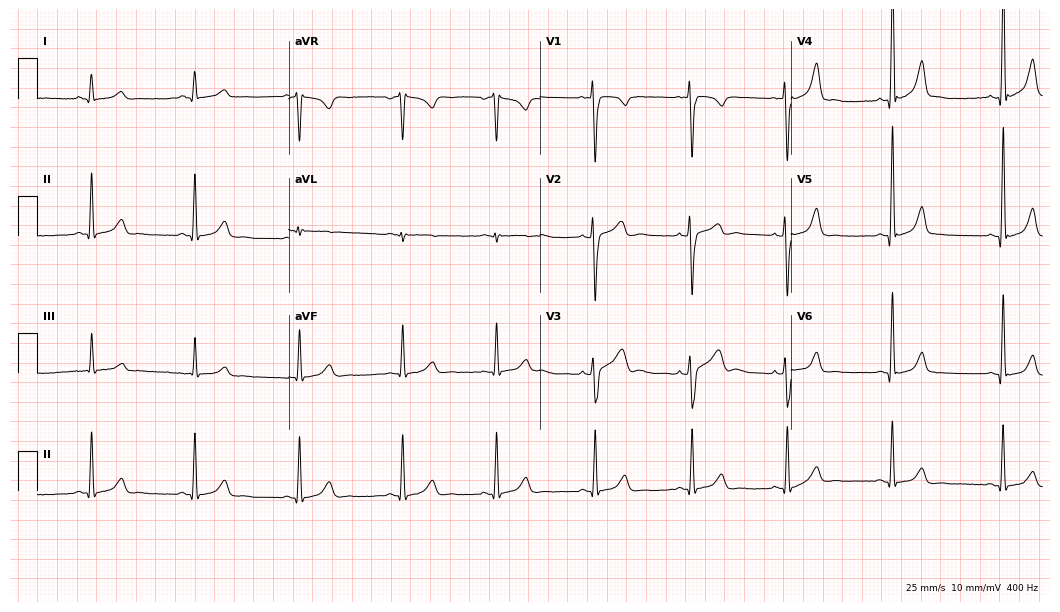
Resting 12-lead electrocardiogram. Patient: a 28-year-old woman. None of these six findings is recorded: first-degree AV block, right bundle branch block, left bundle branch block, sinus bradycardia, atrial fibrillation, sinus tachycardia.